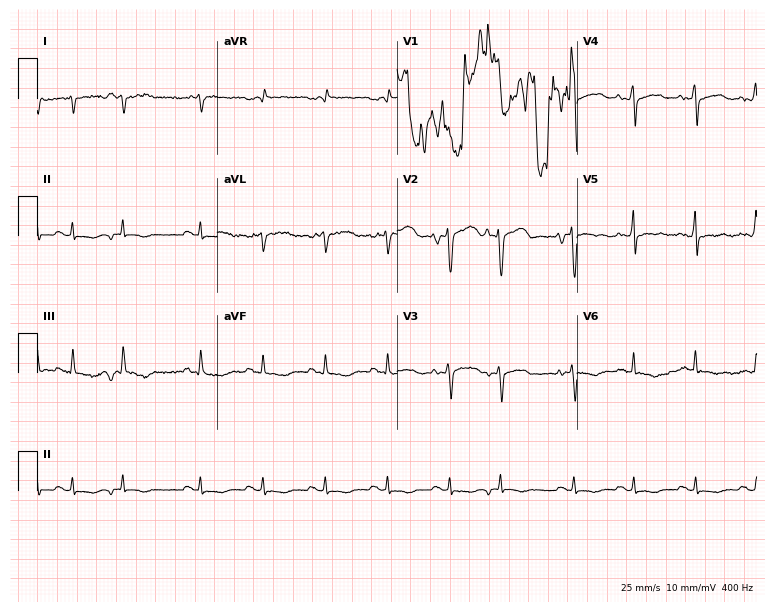
Electrocardiogram, a 37-year-old male patient. Of the six screened findings (first-degree AV block, right bundle branch block (RBBB), left bundle branch block (LBBB), sinus bradycardia, atrial fibrillation (AF), sinus tachycardia), none is recorded.